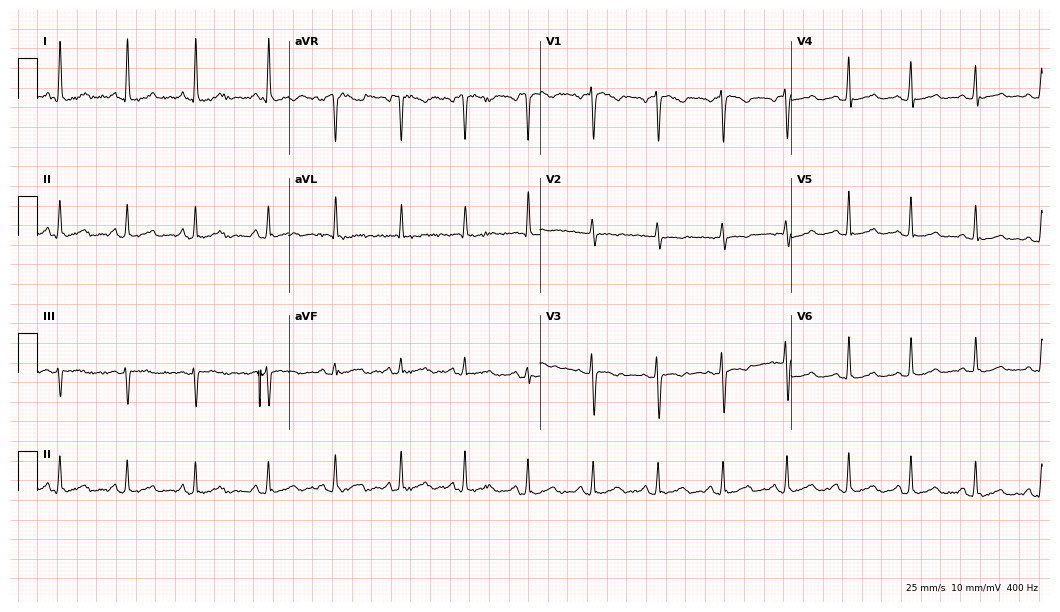
12-lead ECG from a 29-year-old woman. Screened for six findings — first-degree AV block, right bundle branch block, left bundle branch block, sinus bradycardia, atrial fibrillation, sinus tachycardia — none is recorded. Findings outside these six are not listed.